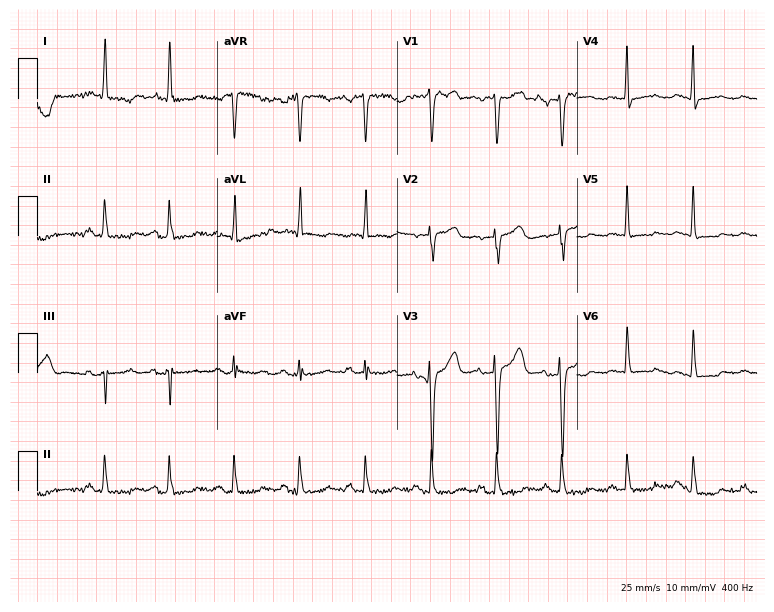
Resting 12-lead electrocardiogram. Patient: a female, 75 years old. None of these six findings is recorded: first-degree AV block, right bundle branch block, left bundle branch block, sinus bradycardia, atrial fibrillation, sinus tachycardia.